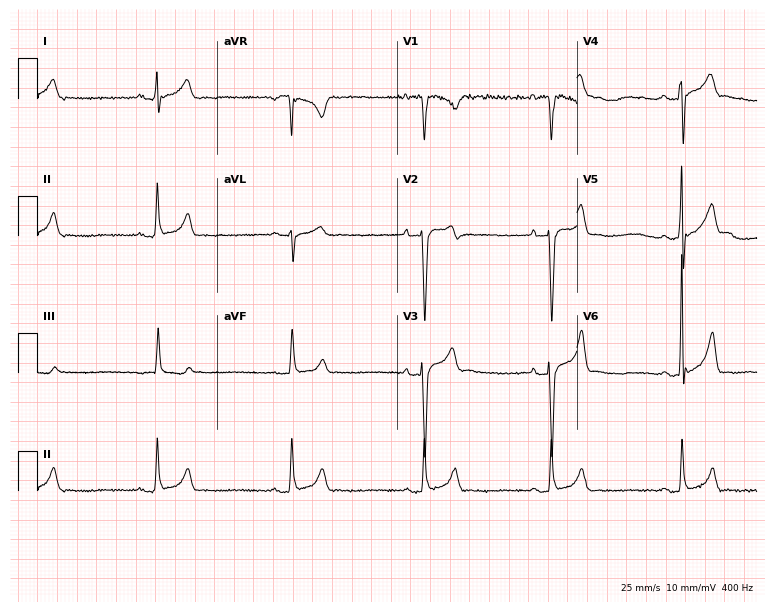
Electrocardiogram, a 26-year-old male patient. Interpretation includes sinus bradycardia (a sinus rate of 50 beats per minute or less).